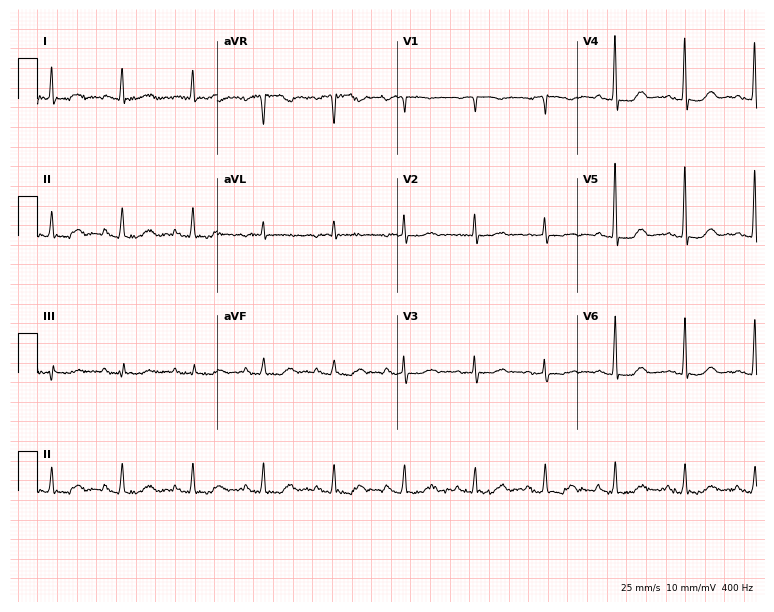
12-lead ECG (7.3-second recording at 400 Hz) from a woman, 82 years old. Screened for six findings — first-degree AV block, right bundle branch block, left bundle branch block, sinus bradycardia, atrial fibrillation, sinus tachycardia — none is recorded. Other findings, if any, are not listed.